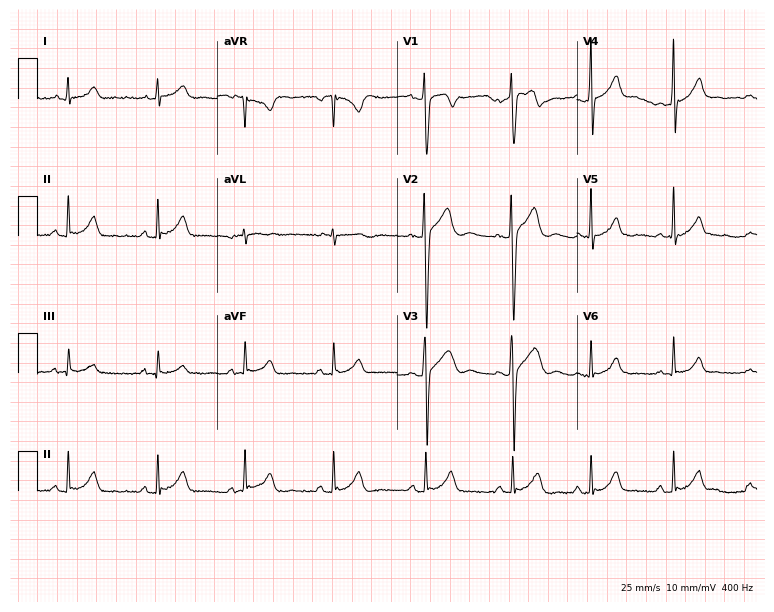
Resting 12-lead electrocardiogram. Patient: a man, 25 years old. None of these six findings is recorded: first-degree AV block, right bundle branch block, left bundle branch block, sinus bradycardia, atrial fibrillation, sinus tachycardia.